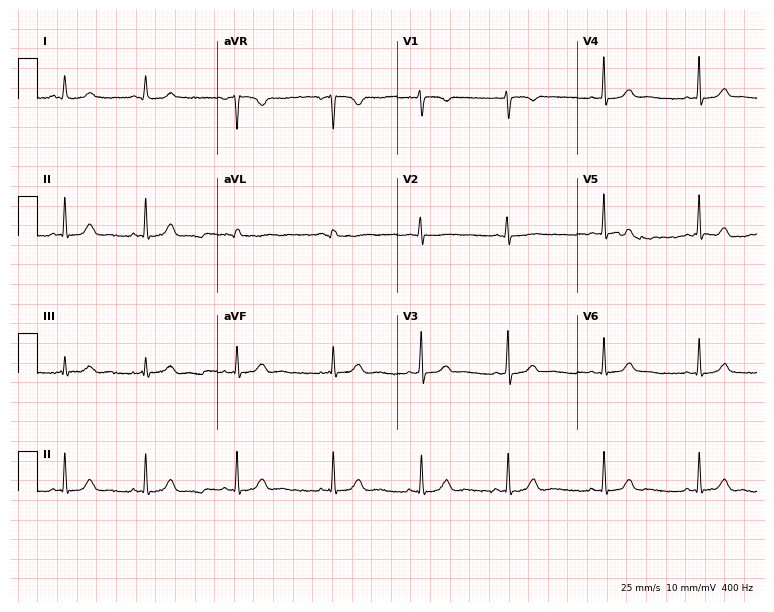
Resting 12-lead electrocardiogram (7.3-second recording at 400 Hz). Patient: a 17-year-old female. Read as a normal ECG.